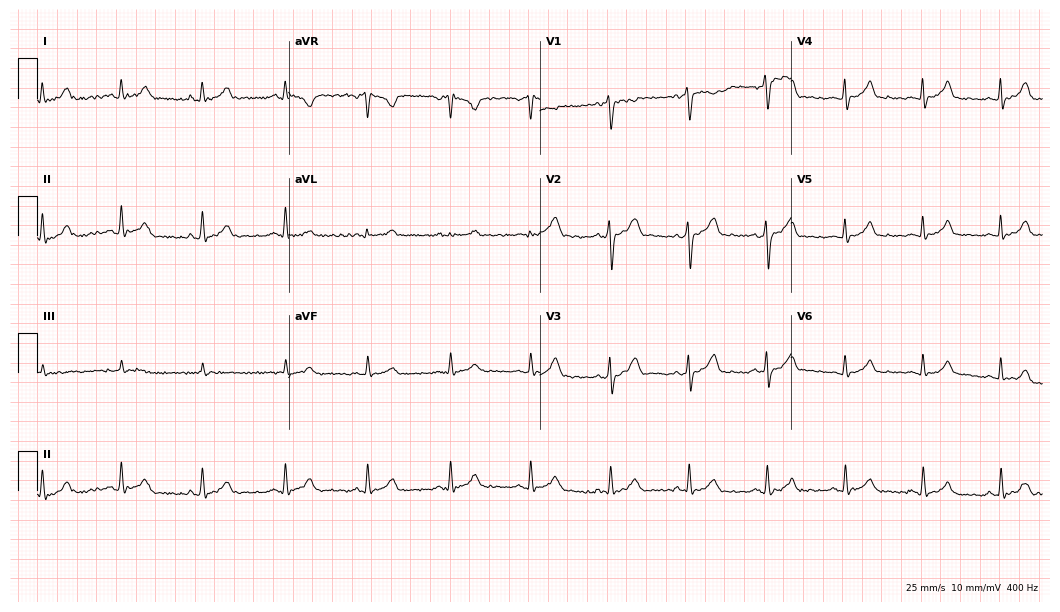
12-lead ECG from a 45-year-old male. Recorded interpretation: within normal limits.